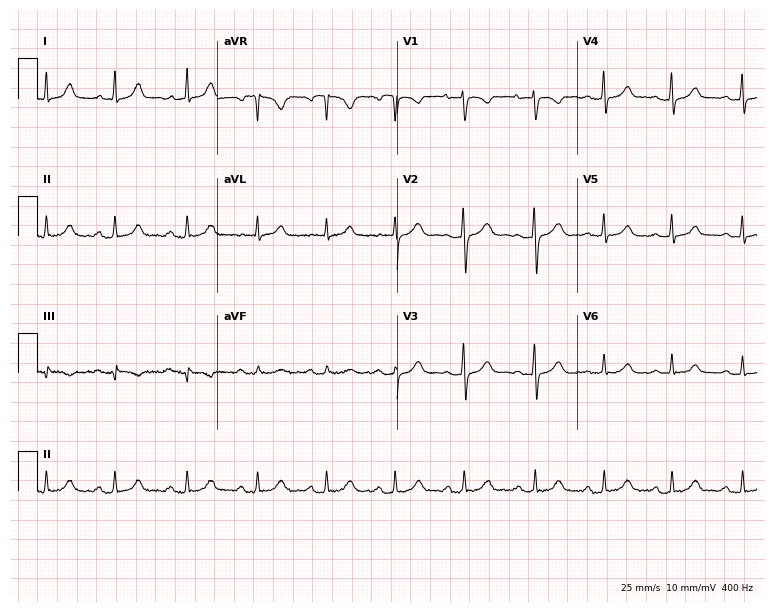
Electrocardiogram, a female, 20 years old. Of the six screened findings (first-degree AV block, right bundle branch block, left bundle branch block, sinus bradycardia, atrial fibrillation, sinus tachycardia), none is recorded.